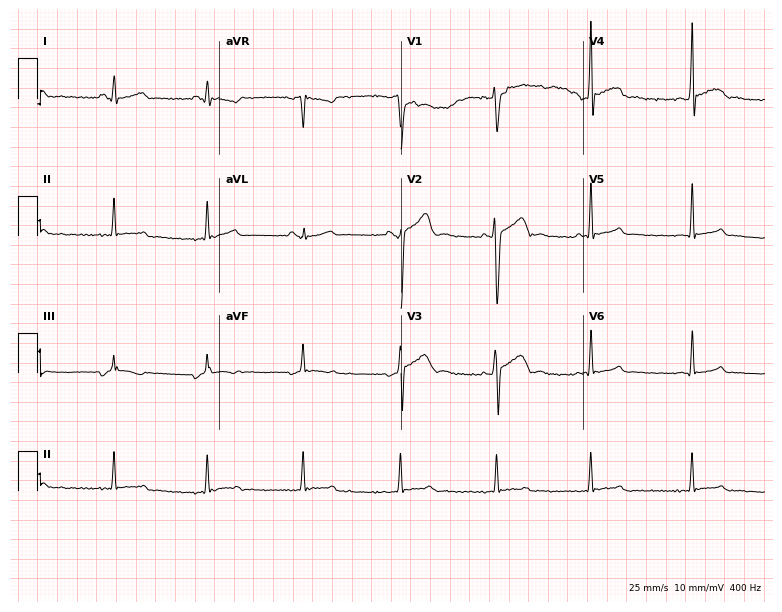
Standard 12-lead ECG recorded from a 19-year-old male patient. None of these six findings is recorded: first-degree AV block, right bundle branch block (RBBB), left bundle branch block (LBBB), sinus bradycardia, atrial fibrillation (AF), sinus tachycardia.